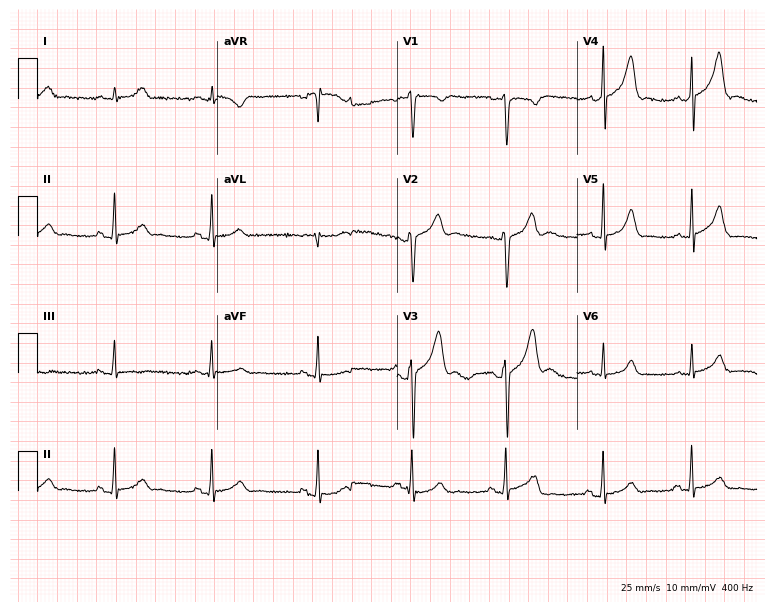
Electrocardiogram (7.3-second recording at 400 Hz), a male, 24 years old. Overall reading on record: normal ECG.